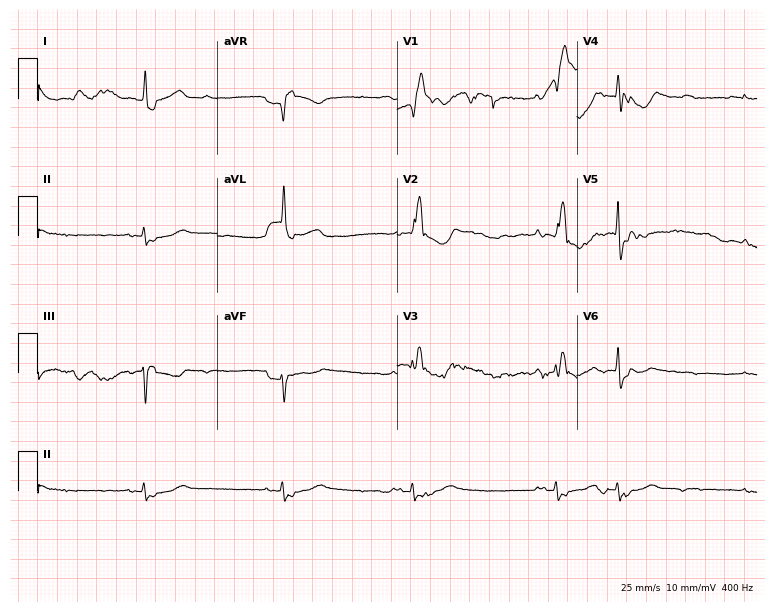
12-lead ECG from a 76-year-old male patient. Findings include right bundle branch block.